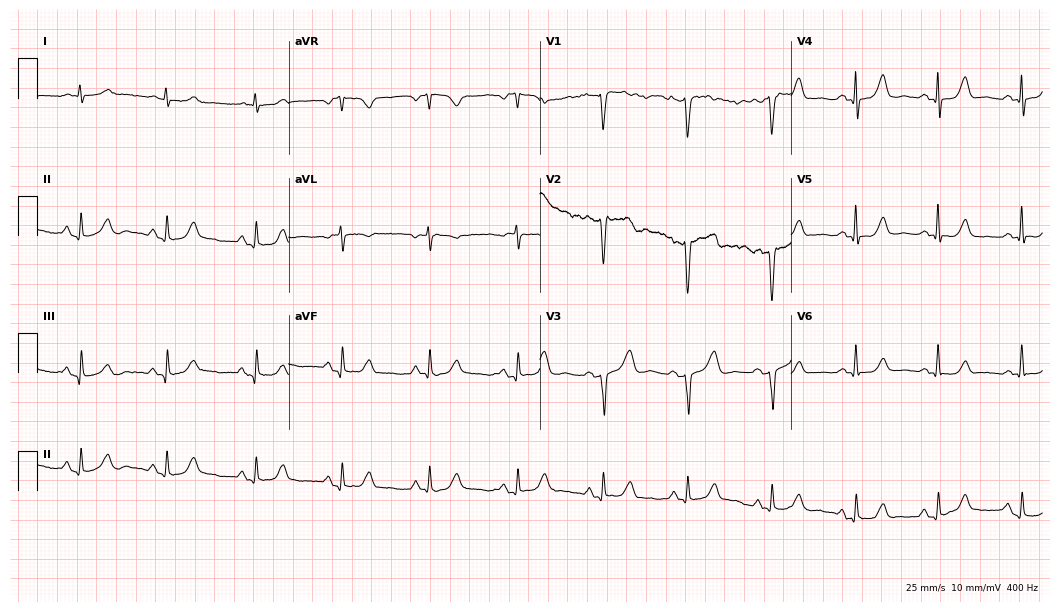
ECG — a 48-year-old female. Labelled as a normal ECG.